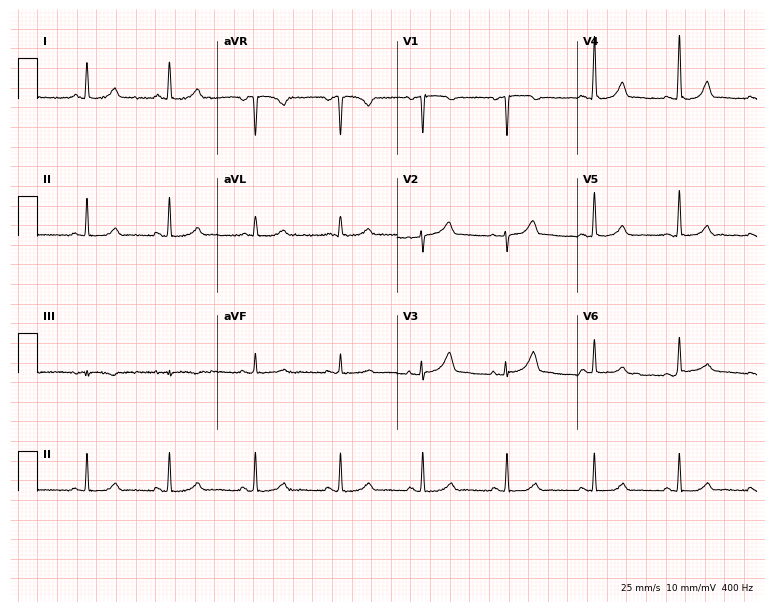
Electrocardiogram (7.3-second recording at 400 Hz), a 37-year-old female. Overall reading on record: normal ECG.